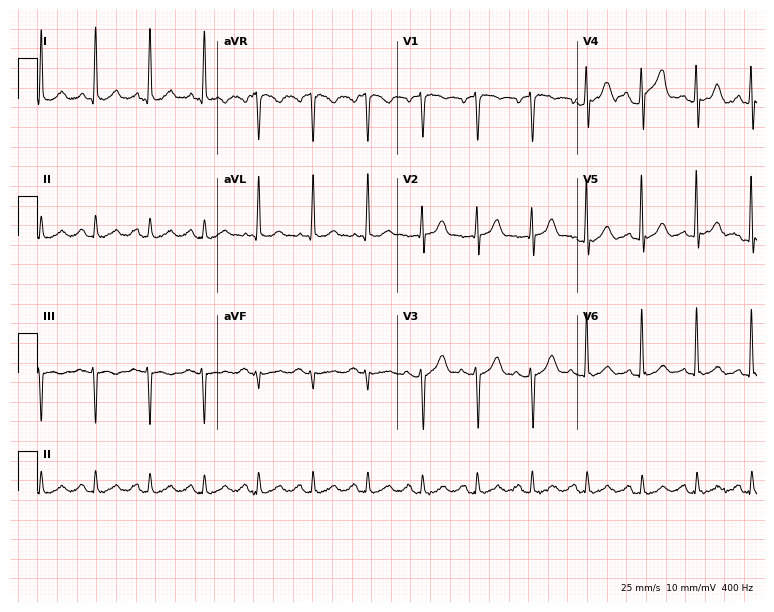
Electrocardiogram, a male, 69 years old. Interpretation includes sinus tachycardia (a sinus rate of 100 beats per minute or more).